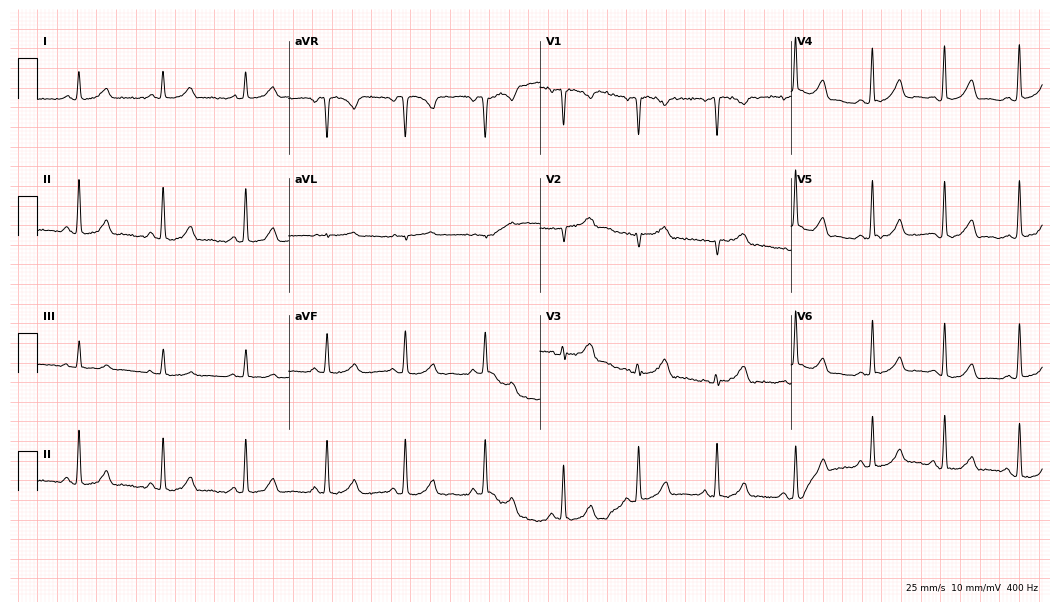
12-lead ECG from a female patient, 58 years old (10.2-second recording at 400 Hz). Recorded interpretation: within normal limits.